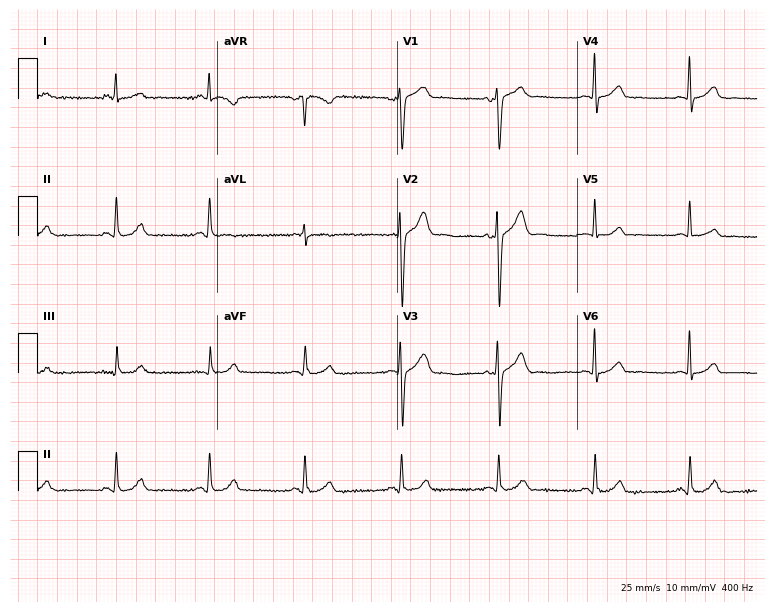
Standard 12-lead ECG recorded from a 54-year-old man (7.3-second recording at 400 Hz). Read as a normal ECG.